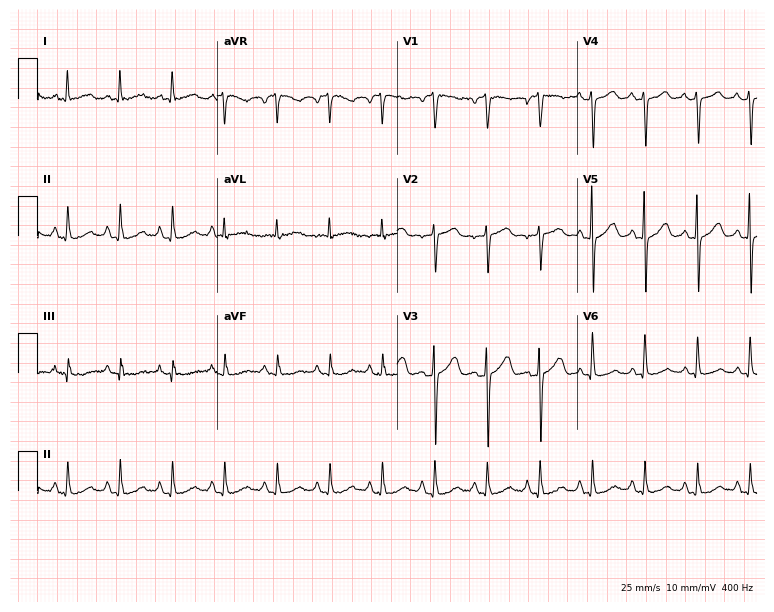
ECG — a woman, 68 years old. Findings include sinus tachycardia (a sinus rate of 100 beats per minute or more).